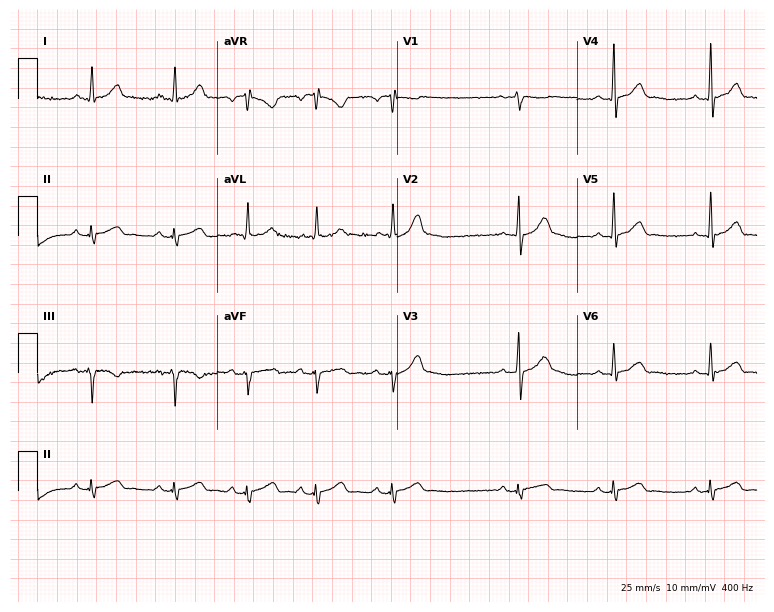
Electrocardiogram, a male, 25 years old. Overall reading on record: normal ECG.